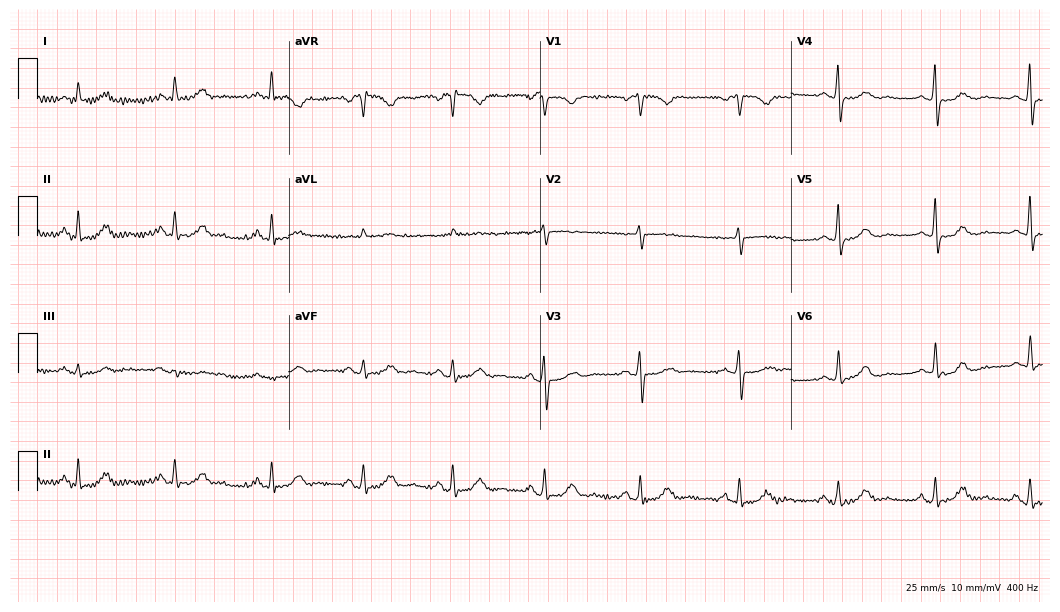
Electrocardiogram, a 45-year-old woman. Of the six screened findings (first-degree AV block, right bundle branch block, left bundle branch block, sinus bradycardia, atrial fibrillation, sinus tachycardia), none is recorded. Other findings, if any, are not listed.